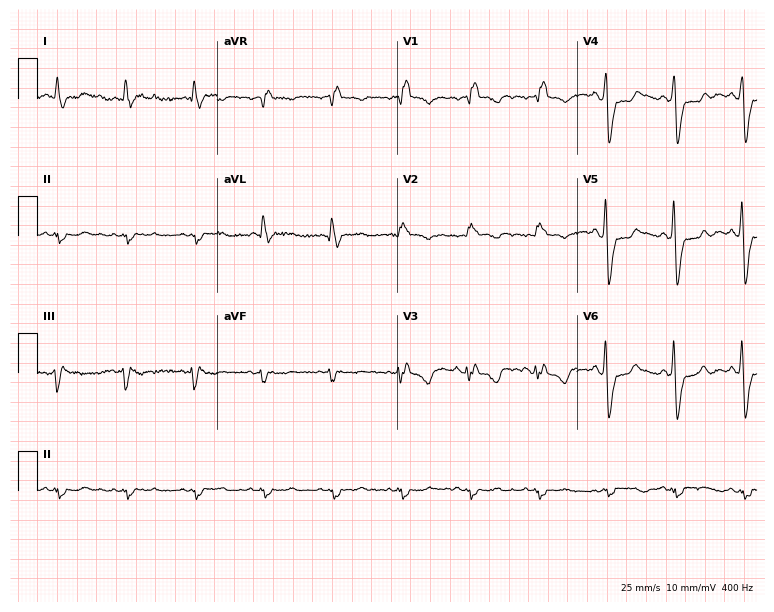
12-lead ECG from a female patient, 73 years old (7.3-second recording at 400 Hz). Shows right bundle branch block.